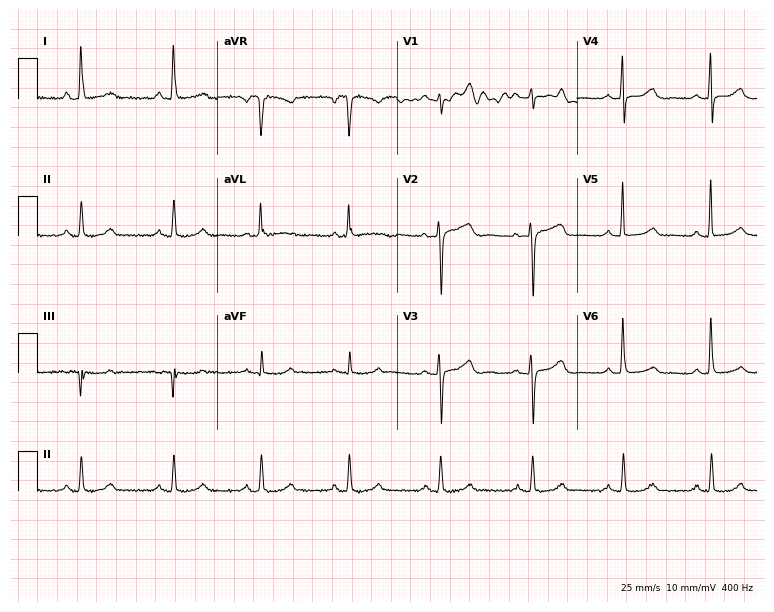
Resting 12-lead electrocardiogram (7.3-second recording at 400 Hz). Patient: a woman, 62 years old. Read as a normal ECG.